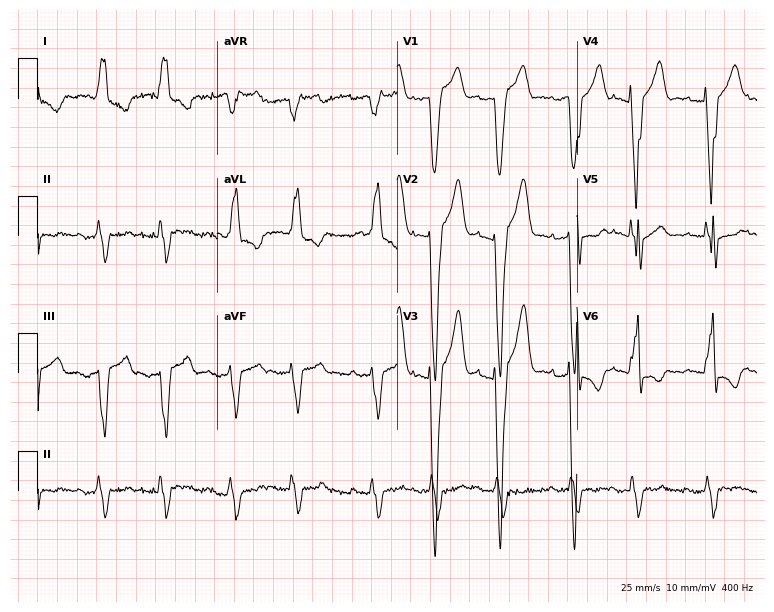
12-lead ECG from a 79-year-old man. Shows left bundle branch block (LBBB).